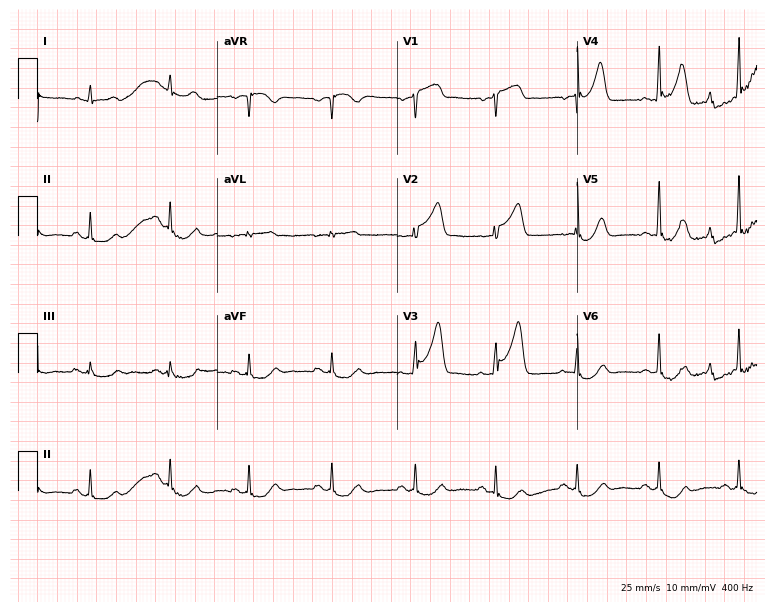
12-lead ECG from a male, 58 years old. Screened for six findings — first-degree AV block, right bundle branch block, left bundle branch block, sinus bradycardia, atrial fibrillation, sinus tachycardia — none is recorded.